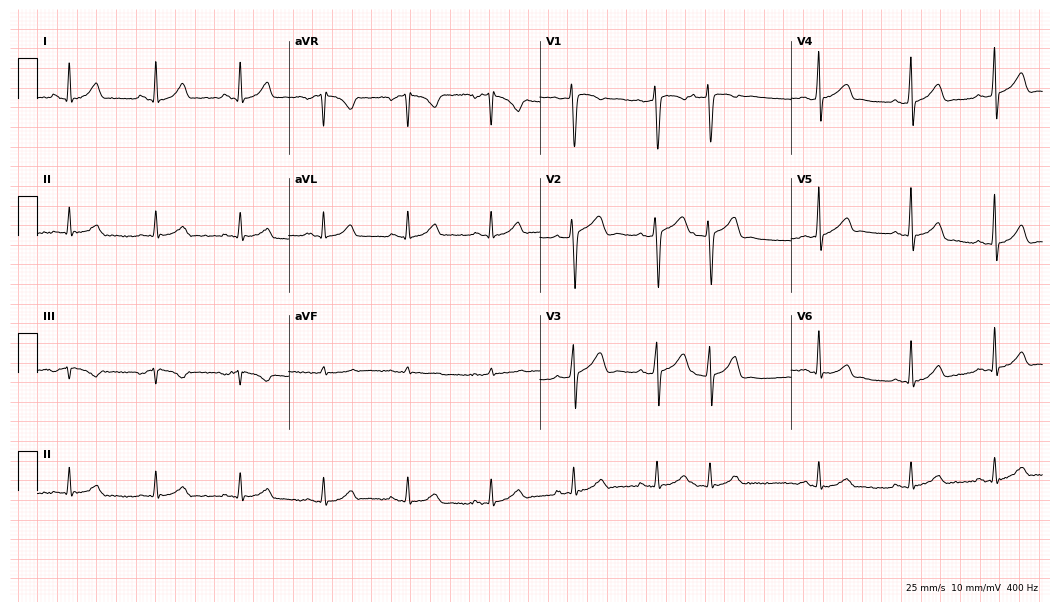
Standard 12-lead ECG recorded from a male patient, 37 years old. None of these six findings is recorded: first-degree AV block, right bundle branch block (RBBB), left bundle branch block (LBBB), sinus bradycardia, atrial fibrillation (AF), sinus tachycardia.